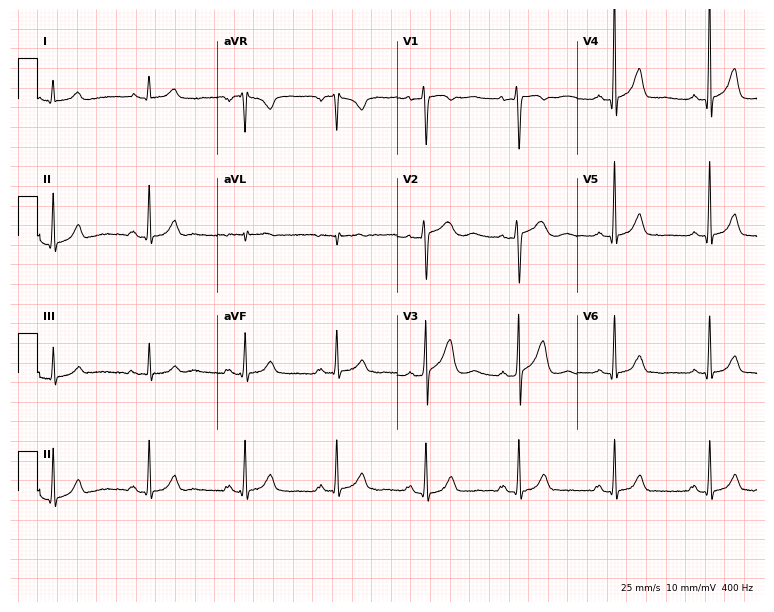
Resting 12-lead electrocardiogram (7.3-second recording at 400 Hz). Patient: a 51-year-old woman. Read as a normal ECG.